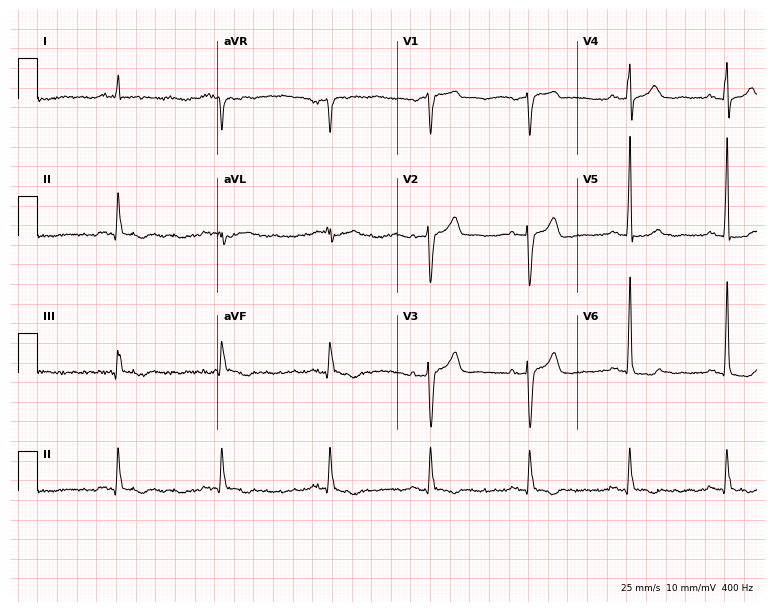
Electrocardiogram, a male patient, 63 years old. Of the six screened findings (first-degree AV block, right bundle branch block (RBBB), left bundle branch block (LBBB), sinus bradycardia, atrial fibrillation (AF), sinus tachycardia), none is recorded.